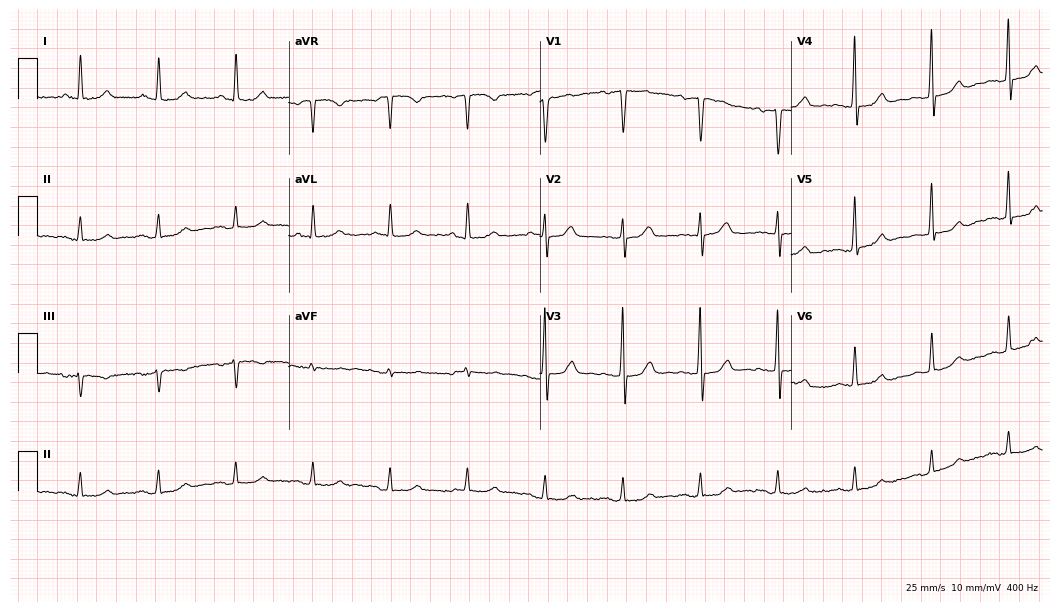
12-lead ECG from a 63-year-old male. Screened for six findings — first-degree AV block, right bundle branch block, left bundle branch block, sinus bradycardia, atrial fibrillation, sinus tachycardia — none is recorded. Other findings, if any, are not listed.